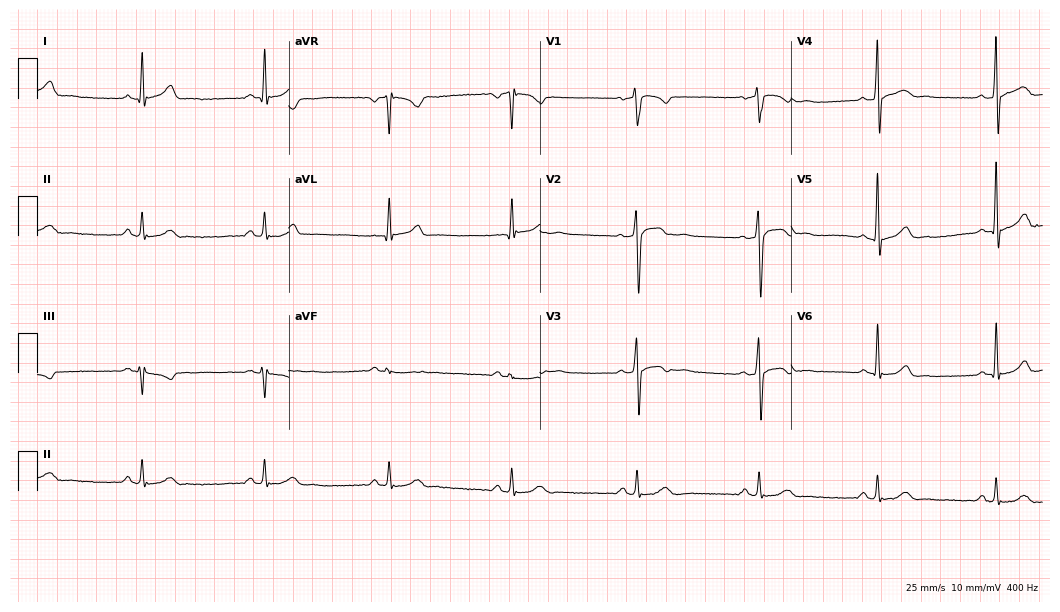
12-lead ECG from a male, 81 years old. No first-degree AV block, right bundle branch block, left bundle branch block, sinus bradycardia, atrial fibrillation or sinus tachycardia recorded for this tracing. Other findings, if any, are not listed.